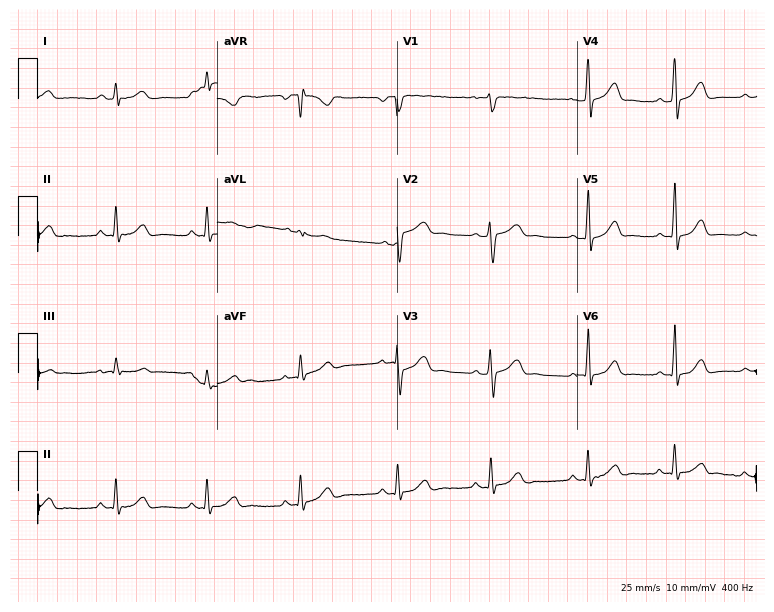
ECG (7.3-second recording at 400 Hz) — a woman, 21 years old. Screened for six findings — first-degree AV block, right bundle branch block, left bundle branch block, sinus bradycardia, atrial fibrillation, sinus tachycardia — none is recorded.